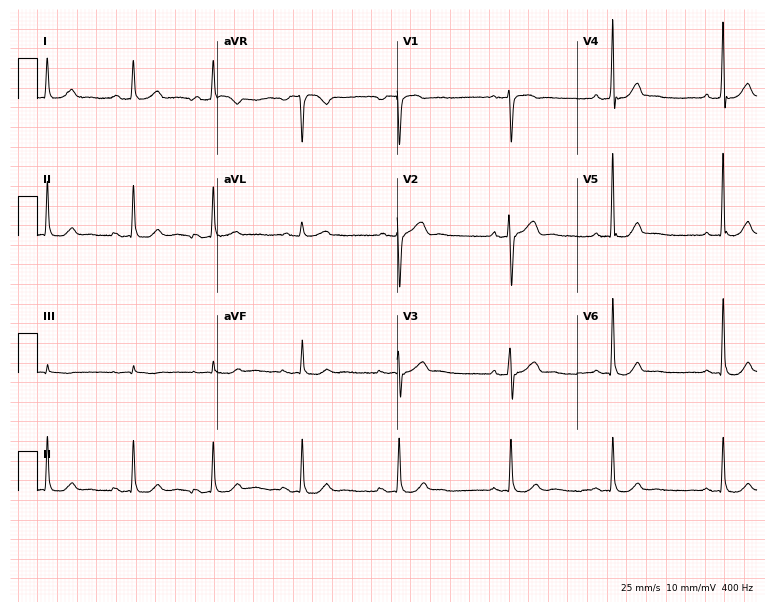
12-lead ECG (7.3-second recording at 400 Hz) from a female, 35 years old. Labelled as a normal ECG.